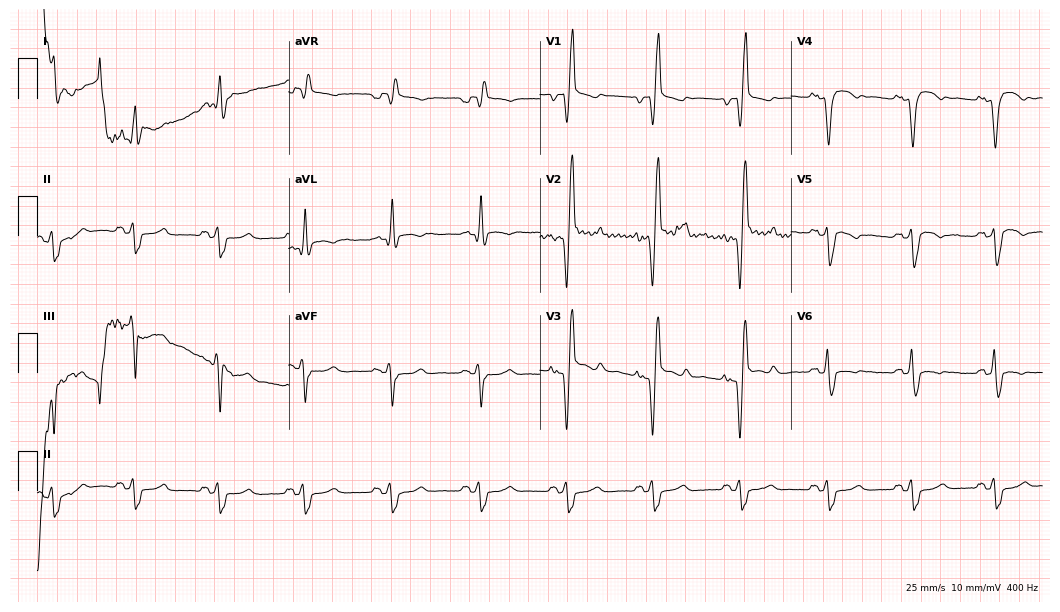
ECG (10.2-second recording at 400 Hz) — a male patient, 52 years old. Findings include right bundle branch block (RBBB).